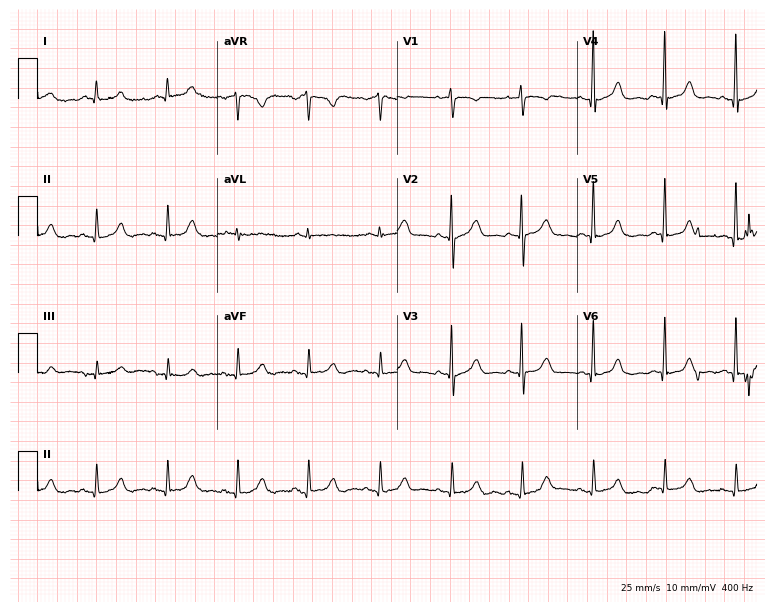
Electrocardiogram (7.3-second recording at 400 Hz), a woman, 68 years old. Of the six screened findings (first-degree AV block, right bundle branch block (RBBB), left bundle branch block (LBBB), sinus bradycardia, atrial fibrillation (AF), sinus tachycardia), none is recorded. Only these six findings were labelled.